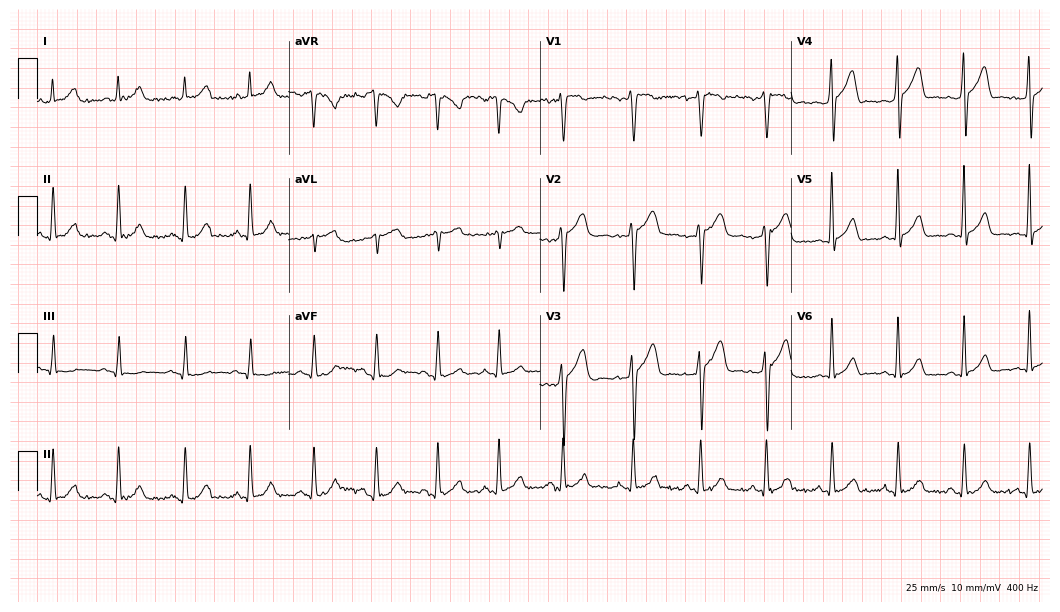
12-lead ECG from a 23-year-old male. Recorded interpretation: within normal limits.